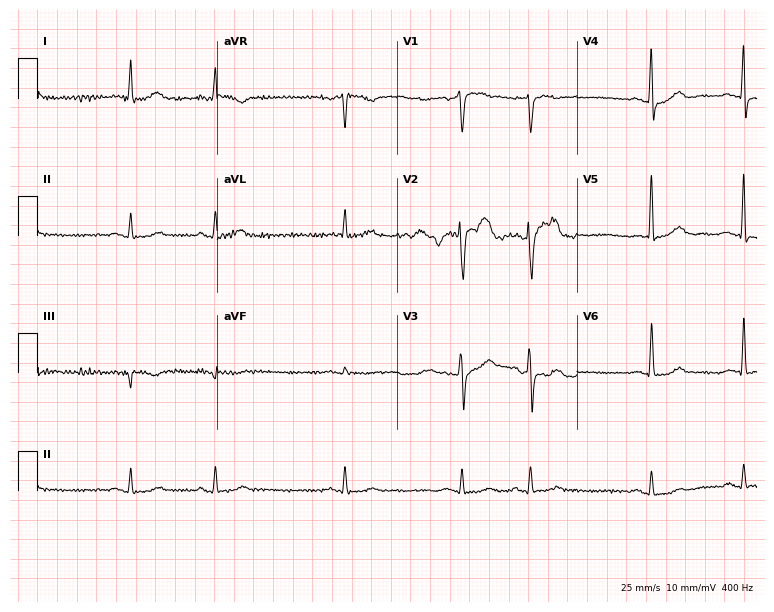
12-lead ECG (7.3-second recording at 400 Hz) from a man, 79 years old. Screened for six findings — first-degree AV block, right bundle branch block, left bundle branch block, sinus bradycardia, atrial fibrillation, sinus tachycardia — none is recorded. Only these six findings were labelled.